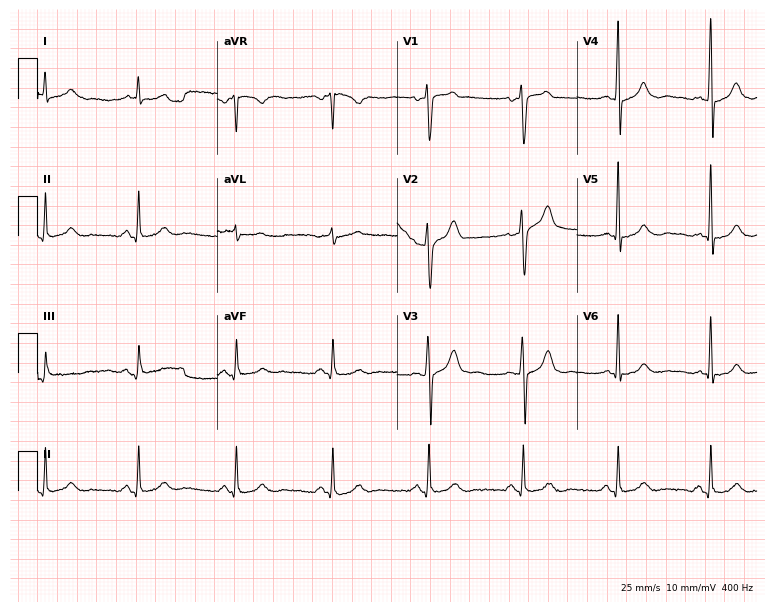
ECG — a male, 52 years old. Screened for six findings — first-degree AV block, right bundle branch block, left bundle branch block, sinus bradycardia, atrial fibrillation, sinus tachycardia — none is recorded. Other findings, if any, are not listed.